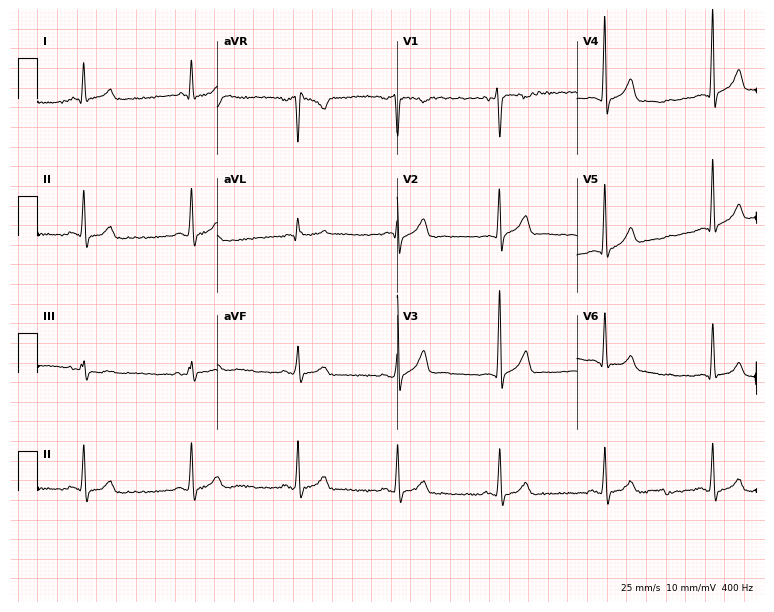
12-lead ECG from a male patient, 24 years old. Screened for six findings — first-degree AV block, right bundle branch block, left bundle branch block, sinus bradycardia, atrial fibrillation, sinus tachycardia — none is recorded. Other findings, if any, are not listed.